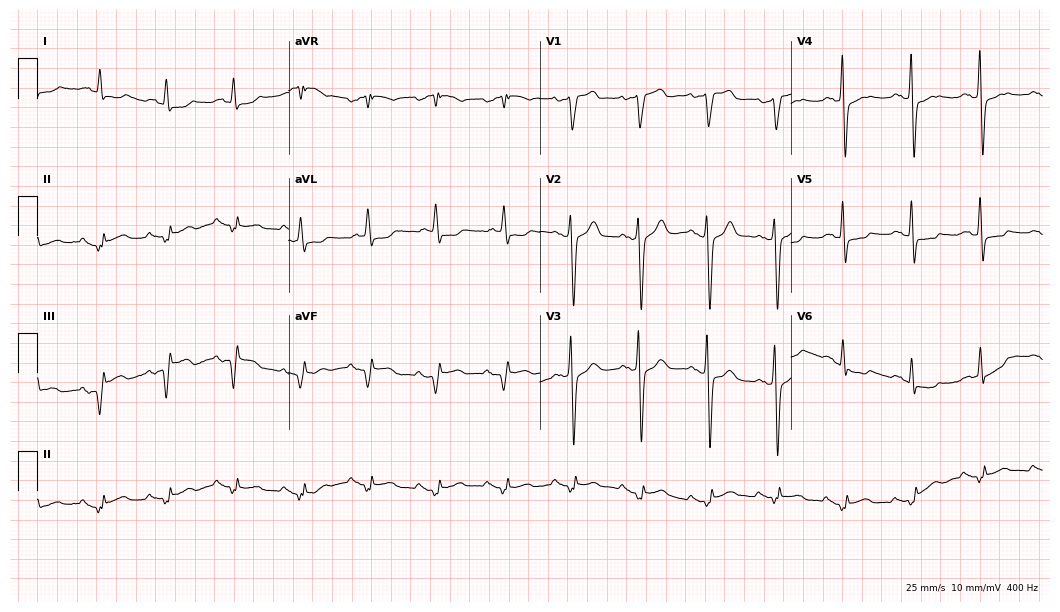
Electrocardiogram (10.2-second recording at 400 Hz), a man, 53 years old. Of the six screened findings (first-degree AV block, right bundle branch block, left bundle branch block, sinus bradycardia, atrial fibrillation, sinus tachycardia), none is recorded.